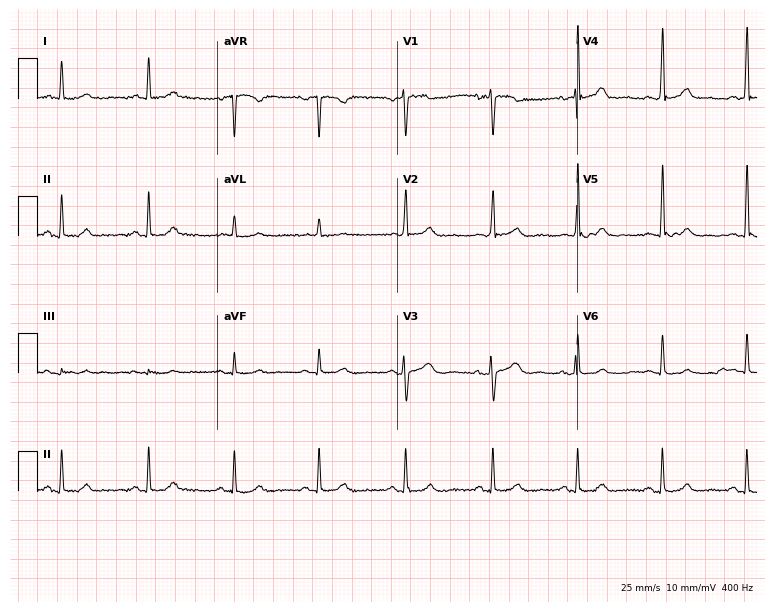
Electrocardiogram, a 56-year-old woman. Overall reading on record: normal ECG.